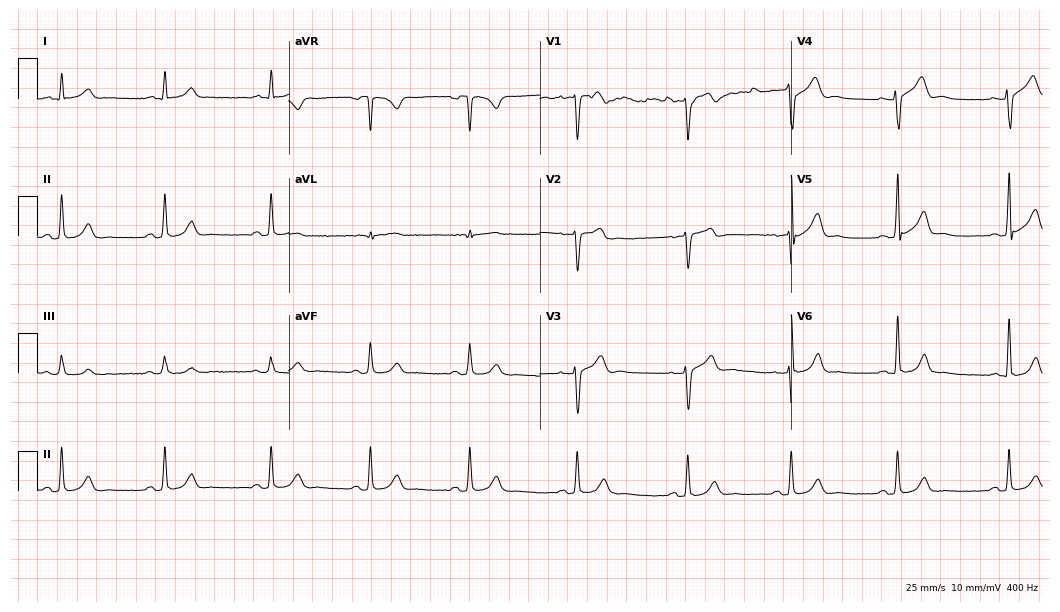
12-lead ECG (10.2-second recording at 400 Hz) from a male patient, 59 years old. Labelled as a normal ECG.